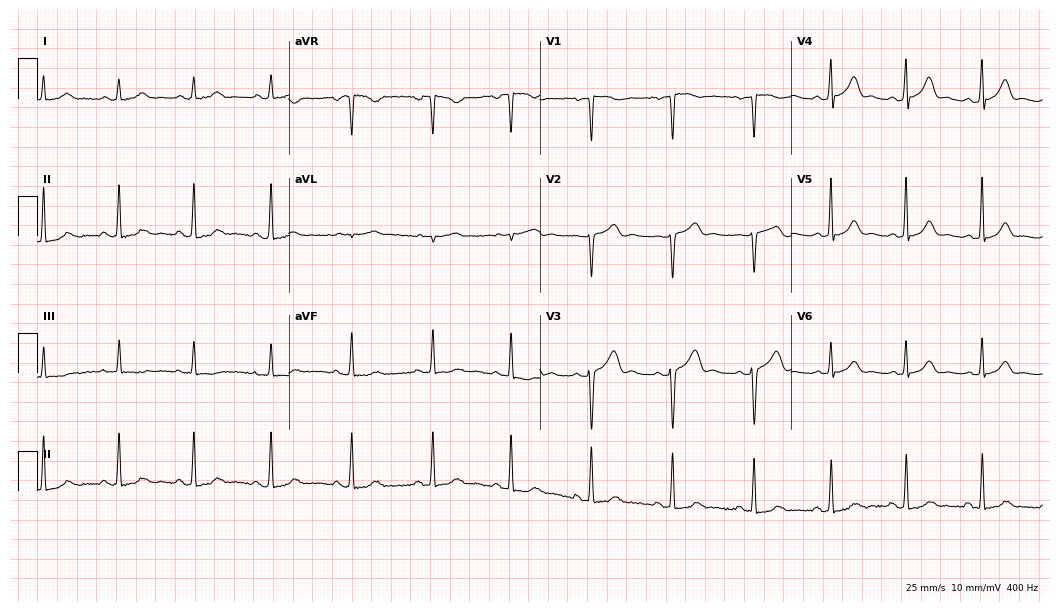
Standard 12-lead ECG recorded from a 33-year-old female patient. Read as a normal ECG.